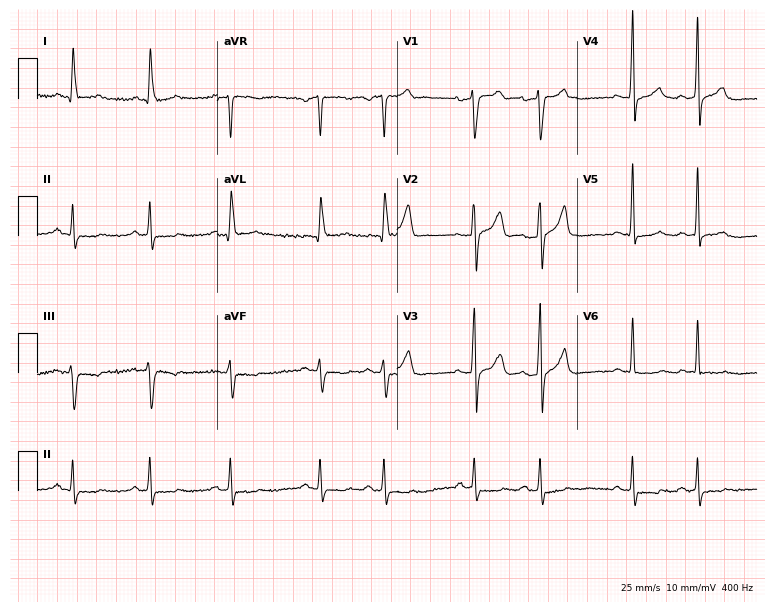
Resting 12-lead electrocardiogram. Patient: a 62-year-old man. None of these six findings is recorded: first-degree AV block, right bundle branch block, left bundle branch block, sinus bradycardia, atrial fibrillation, sinus tachycardia. Other findings, if any, are not listed.